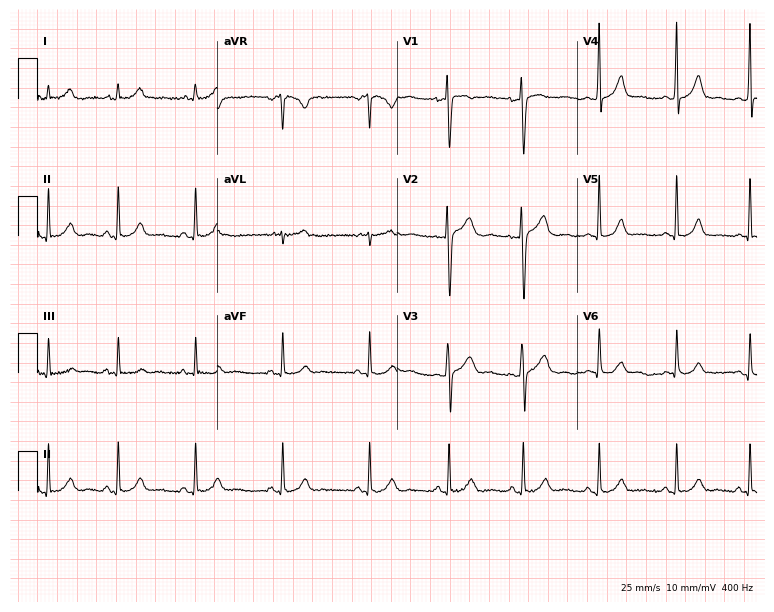
Resting 12-lead electrocardiogram. Patient: a 29-year-old female. None of these six findings is recorded: first-degree AV block, right bundle branch block, left bundle branch block, sinus bradycardia, atrial fibrillation, sinus tachycardia. Other findings, if any, are not listed.